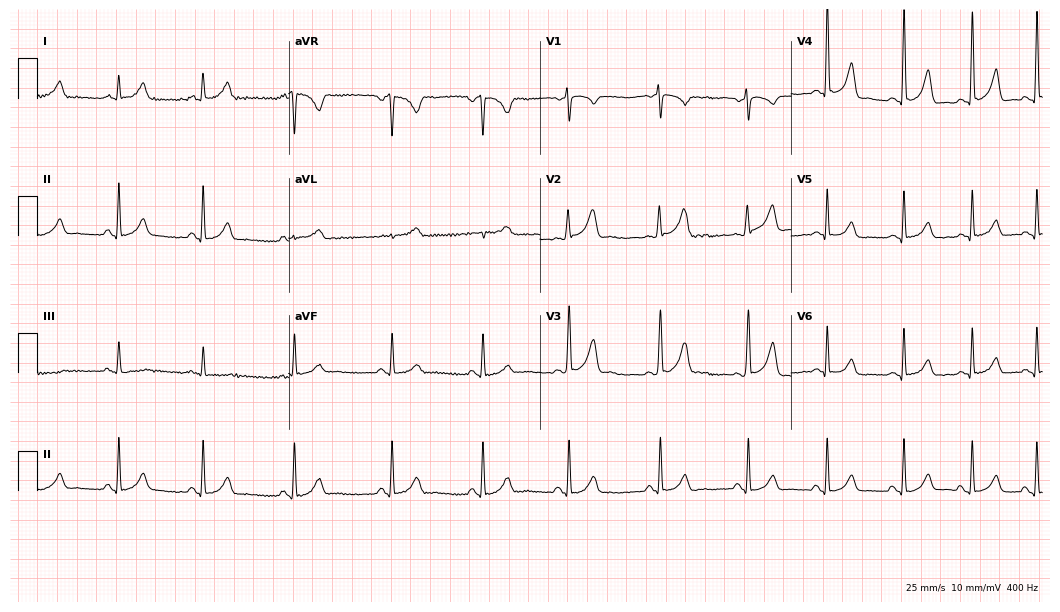
12-lead ECG (10.2-second recording at 400 Hz) from a 29-year-old woman. Labelled as a normal ECG.